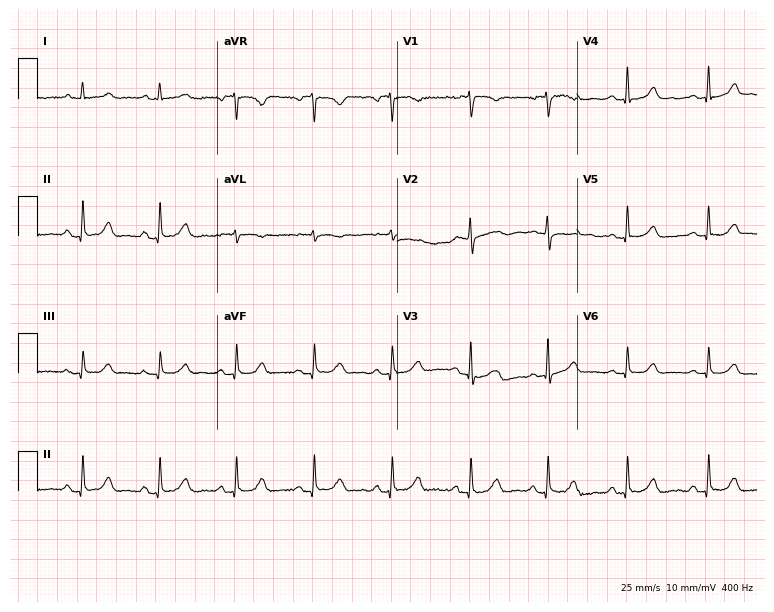
Resting 12-lead electrocardiogram (7.3-second recording at 400 Hz). Patient: a 61-year-old woman. Read as a normal ECG.